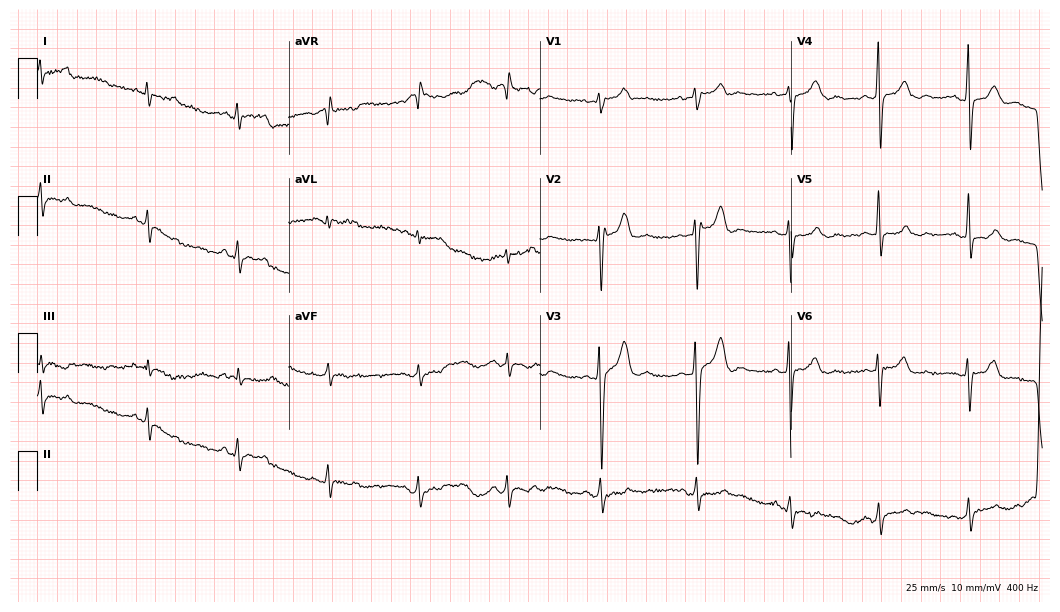
ECG — a man, 46 years old. Screened for six findings — first-degree AV block, right bundle branch block (RBBB), left bundle branch block (LBBB), sinus bradycardia, atrial fibrillation (AF), sinus tachycardia — none is recorded. Other findings, if any, are not listed.